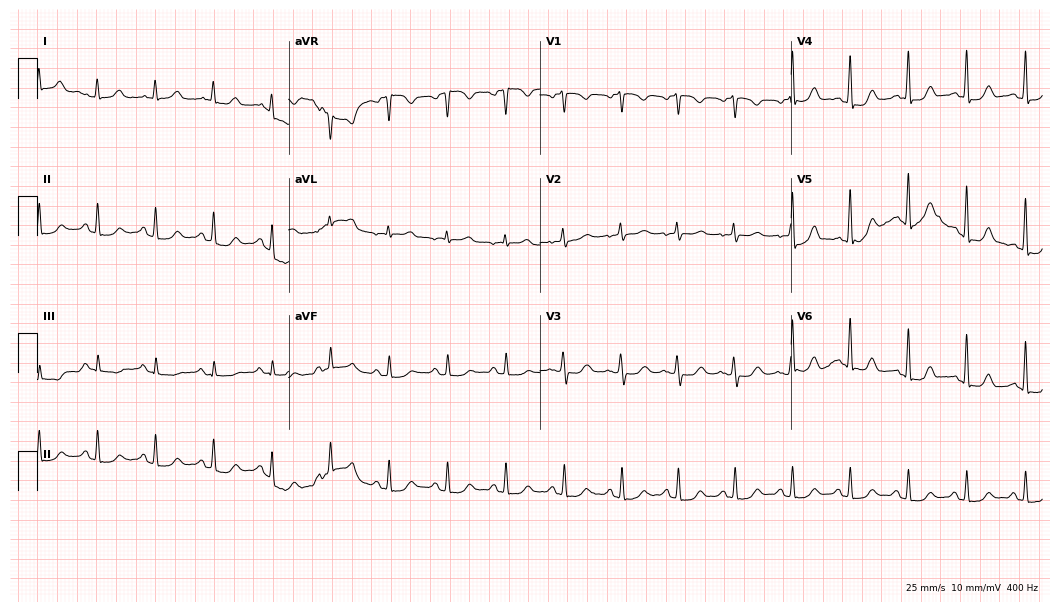
12-lead ECG from a female patient, 44 years old. Screened for six findings — first-degree AV block, right bundle branch block, left bundle branch block, sinus bradycardia, atrial fibrillation, sinus tachycardia — none is recorded.